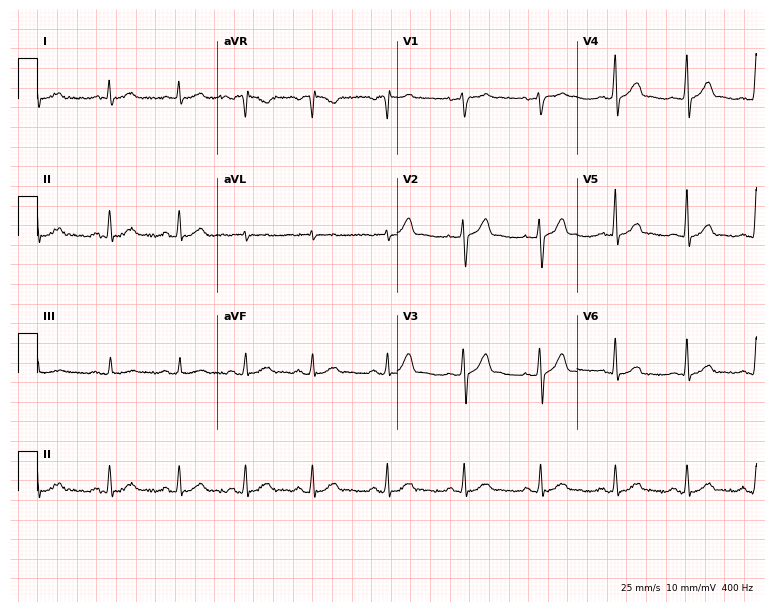
12-lead ECG from a man, 49 years old. Labelled as a normal ECG.